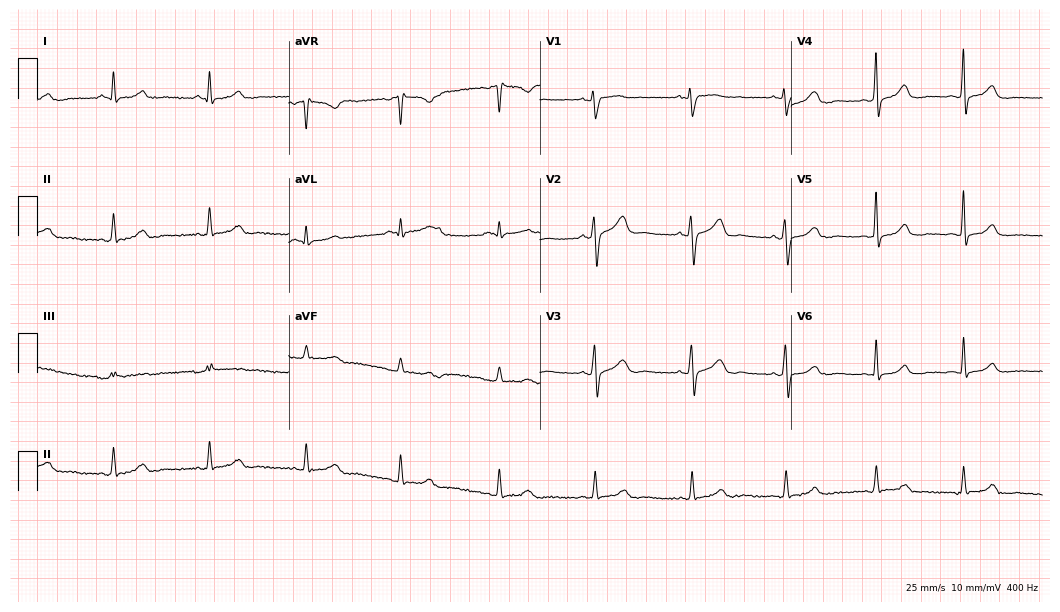
12-lead ECG (10.2-second recording at 400 Hz) from a 55-year-old female patient. Labelled as a normal ECG.